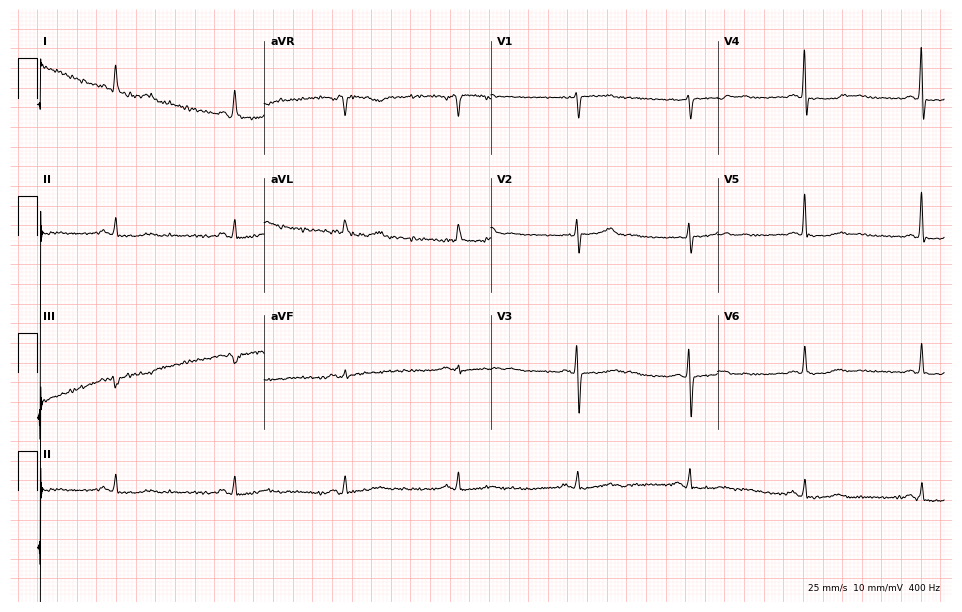
Electrocardiogram (9.2-second recording at 400 Hz), a woman, 77 years old. Of the six screened findings (first-degree AV block, right bundle branch block (RBBB), left bundle branch block (LBBB), sinus bradycardia, atrial fibrillation (AF), sinus tachycardia), none is recorded.